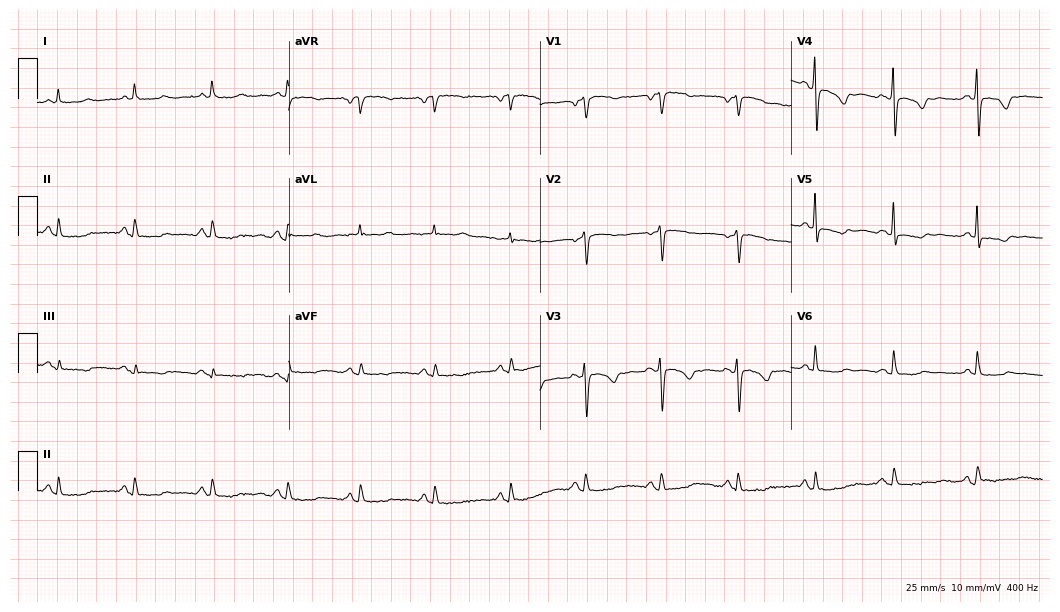
12-lead ECG (10.2-second recording at 400 Hz) from a woman, 79 years old. Screened for six findings — first-degree AV block, right bundle branch block, left bundle branch block, sinus bradycardia, atrial fibrillation, sinus tachycardia — none is recorded. Only these six findings were labelled.